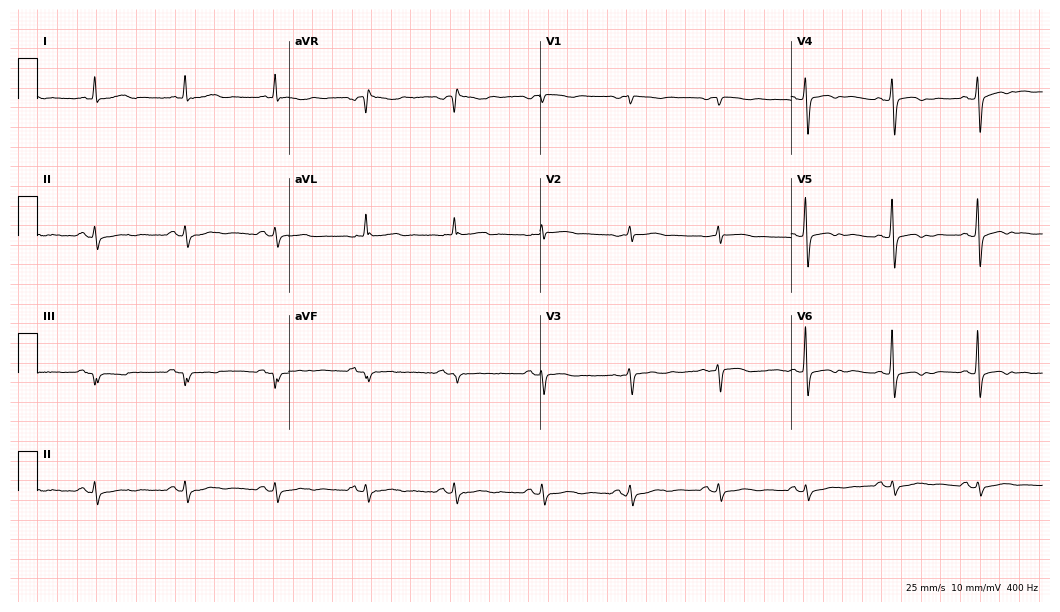
Standard 12-lead ECG recorded from a woman, 85 years old. None of these six findings is recorded: first-degree AV block, right bundle branch block (RBBB), left bundle branch block (LBBB), sinus bradycardia, atrial fibrillation (AF), sinus tachycardia. Findings outside these six are not listed.